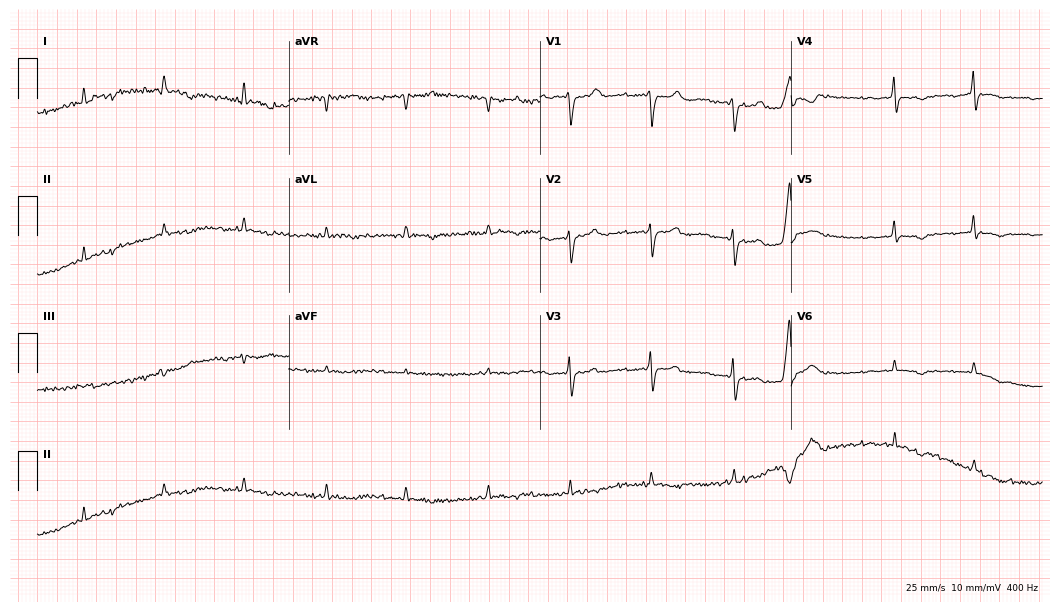
Electrocardiogram, a 72-year-old woman. Of the six screened findings (first-degree AV block, right bundle branch block (RBBB), left bundle branch block (LBBB), sinus bradycardia, atrial fibrillation (AF), sinus tachycardia), none is recorded.